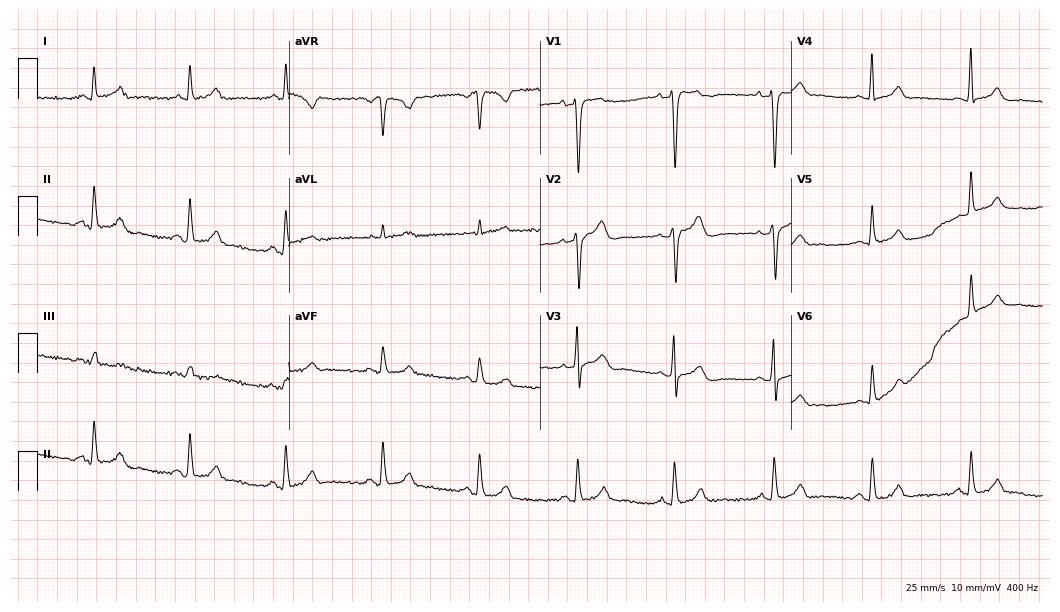
Resting 12-lead electrocardiogram (10.2-second recording at 400 Hz). Patient: a 58-year-old man. Read as a normal ECG.